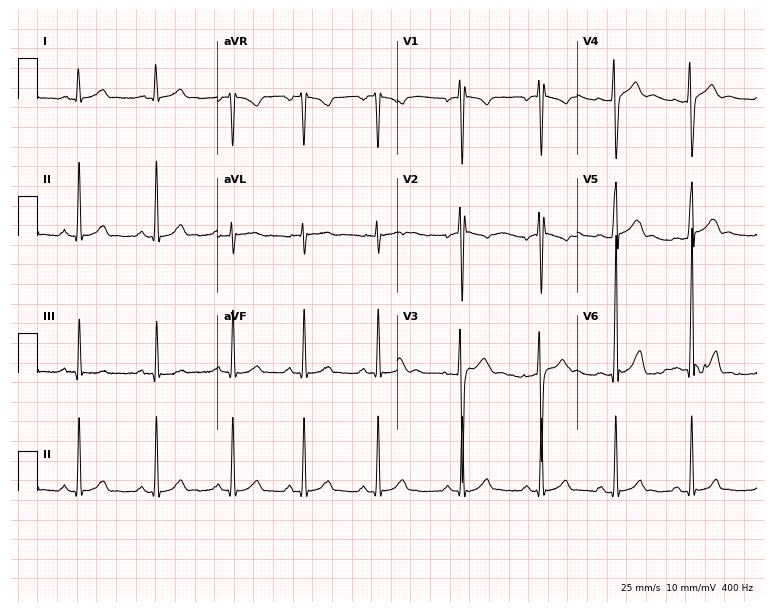
12-lead ECG (7.3-second recording at 400 Hz) from an 18-year-old male patient. Labelled as a normal ECG.